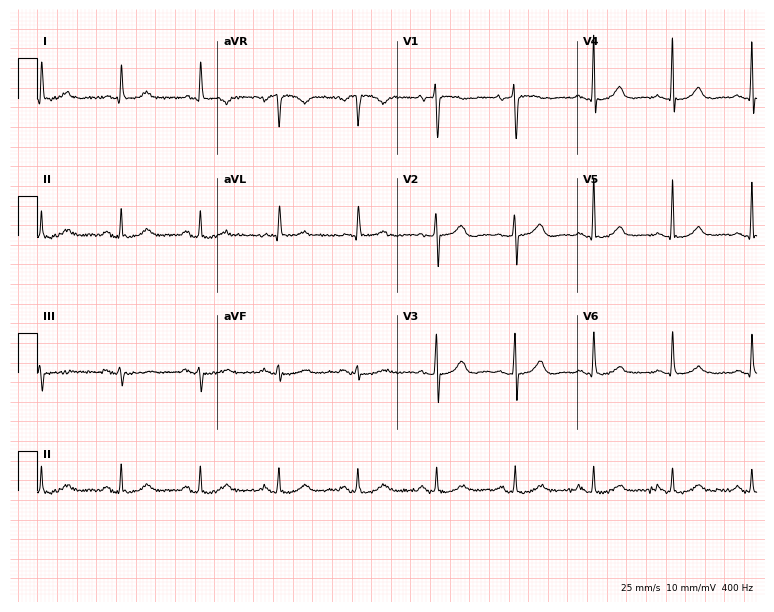
Electrocardiogram (7.3-second recording at 400 Hz), a 79-year-old female. Of the six screened findings (first-degree AV block, right bundle branch block, left bundle branch block, sinus bradycardia, atrial fibrillation, sinus tachycardia), none is recorded.